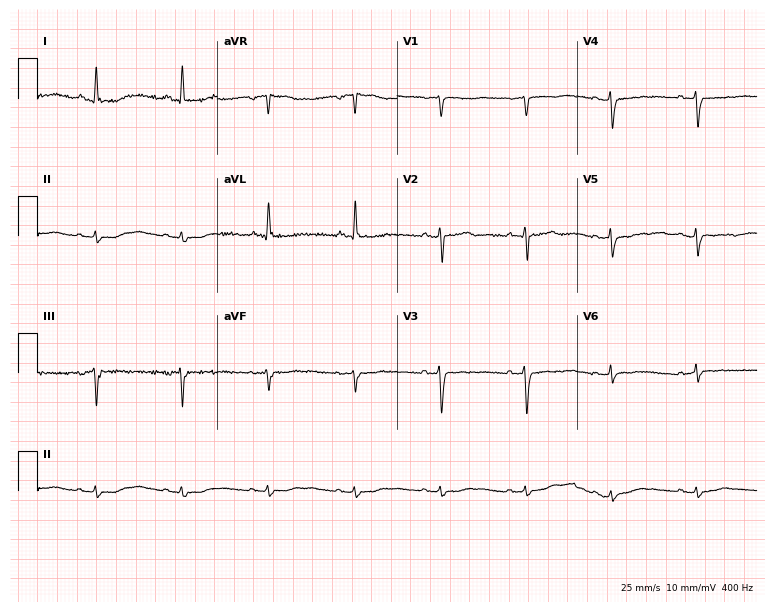
12-lead ECG from a female, 67 years old. No first-degree AV block, right bundle branch block (RBBB), left bundle branch block (LBBB), sinus bradycardia, atrial fibrillation (AF) or sinus tachycardia recorded for this tracing.